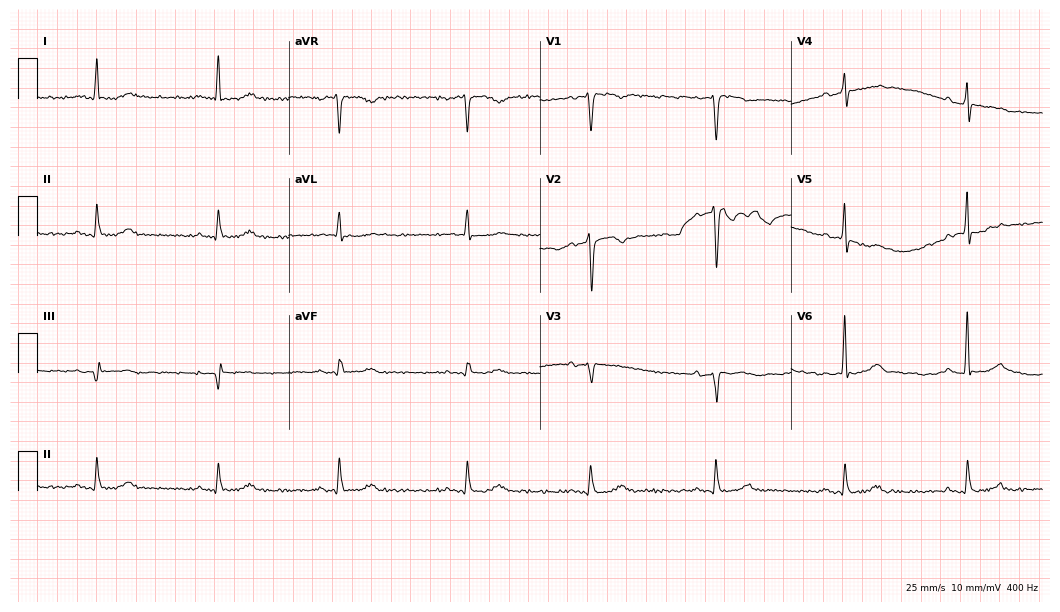
12-lead ECG from a male, 69 years old (10.2-second recording at 400 Hz). Shows sinus bradycardia (a sinus rate of 50 beats per minute or less).